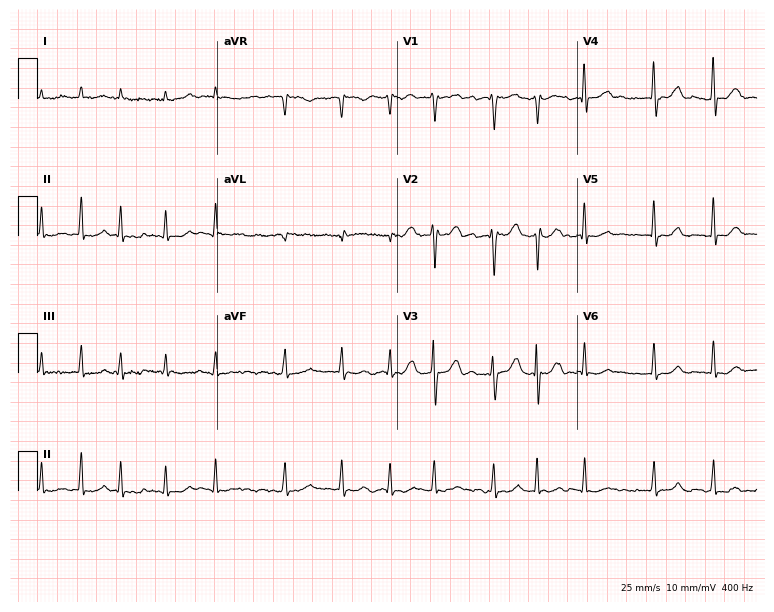
Resting 12-lead electrocardiogram. Patient: a male, 33 years old. The tracing shows atrial fibrillation.